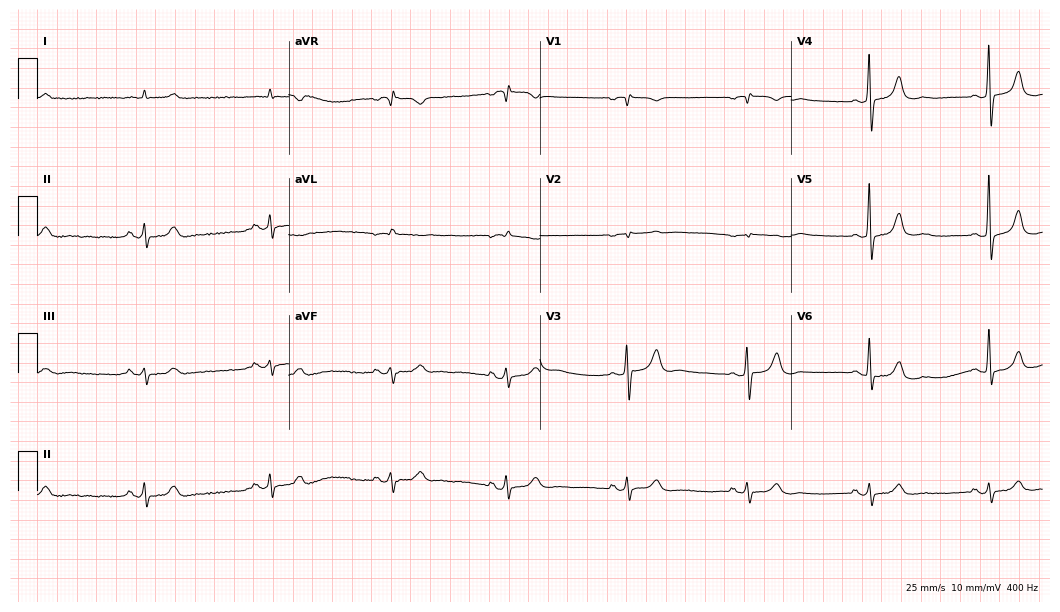
ECG — an 82-year-old male patient. Findings include sinus bradycardia (a sinus rate of 50 beats per minute or less).